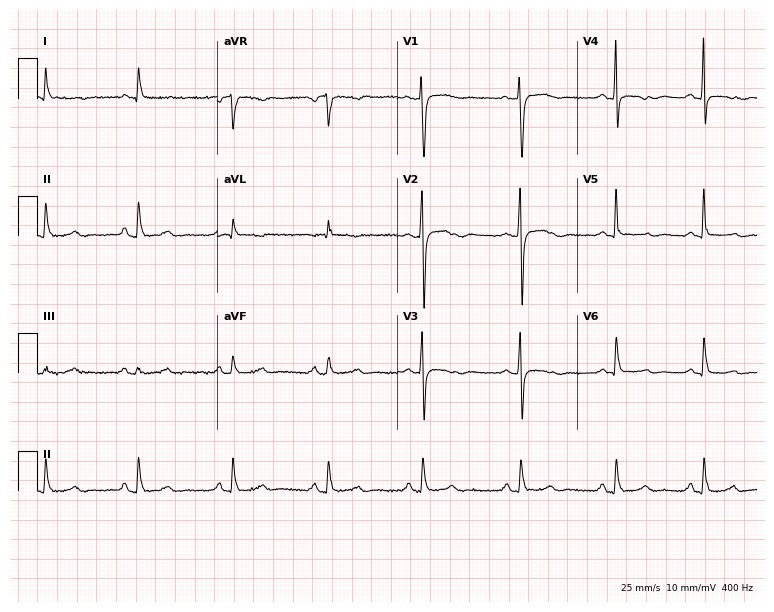
Electrocardiogram (7.3-second recording at 400 Hz), a woman, 74 years old. Of the six screened findings (first-degree AV block, right bundle branch block, left bundle branch block, sinus bradycardia, atrial fibrillation, sinus tachycardia), none is recorded. Other findings, if any, are not listed.